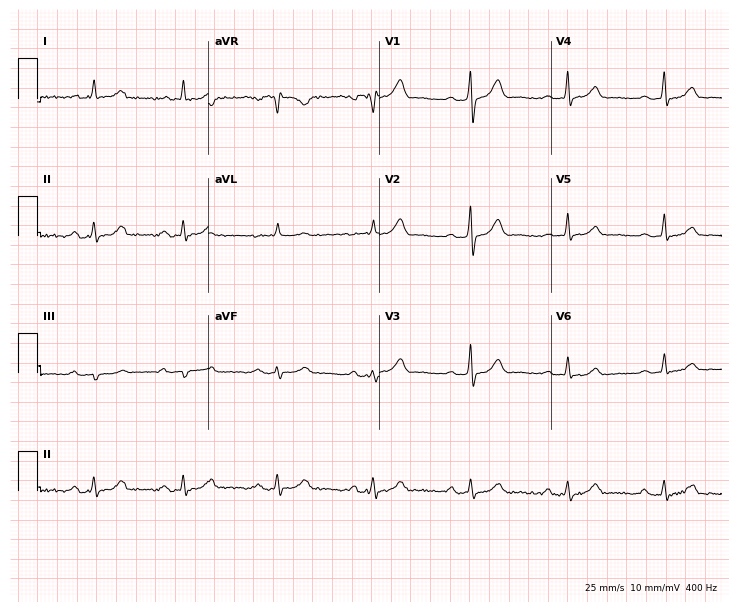
Resting 12-lead electrocardiogram (7-second recording at 400 Hz). Patient: a 68-year-old male. None of these six findings is recorded: first-degree AV block, right bundle branch block, left bundle branch block, sinus bradycardia, atrial fibrillation, sinus tachycardia.